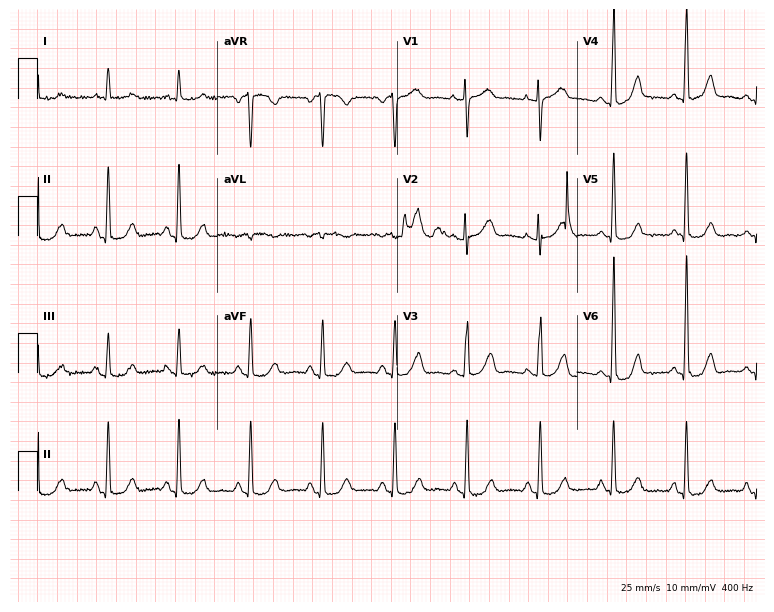
Standard 12-lead ECG recorded from an 81-year-old female. Read as a normal ECG.